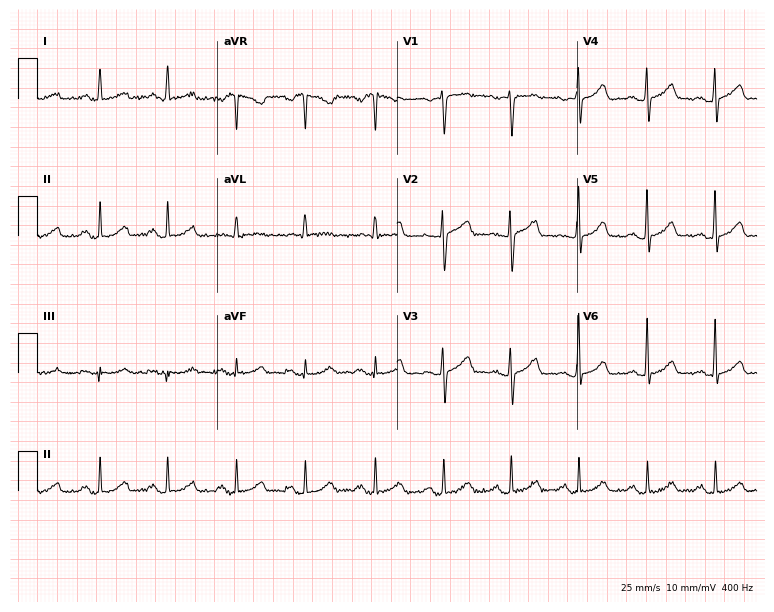
ECG — a 52-year-old female patient. Screened for six findings — first-degree AV block, right bundle branch block (RBBB), left bundle branch block (LBBB), sinus bradycardia, atrial fibrillation (AF), sinus tachycardia — none is recorded.